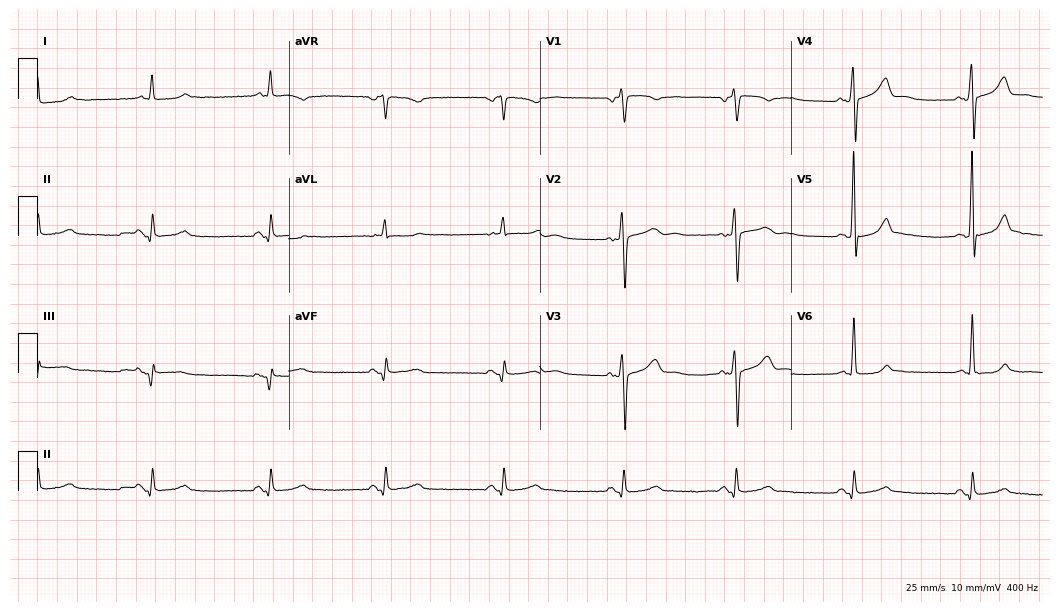
12-lead ECG from a male, 66 years old. Recorded interpretation: within normal limits.